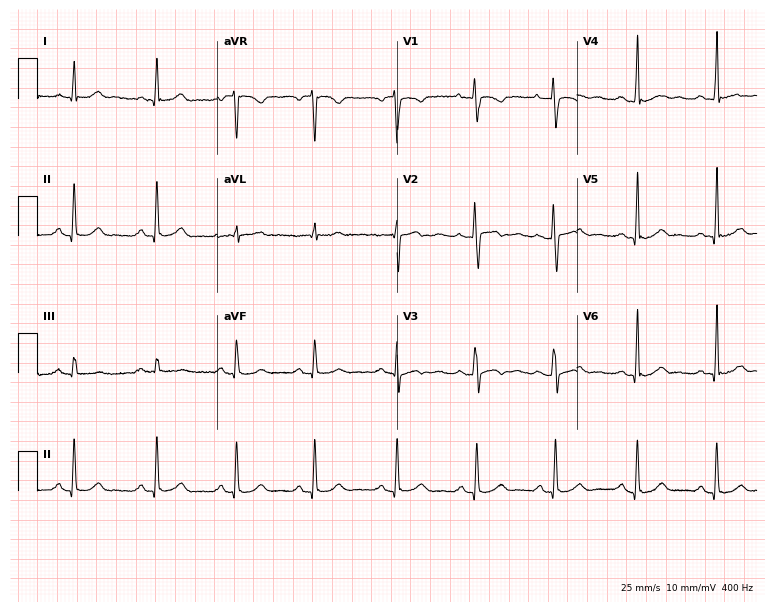
Resting 12-lead electrocardiogram (7.3-second recording at 400 Hz). Patient: a female, 32 years old. Read as a normal ECG.